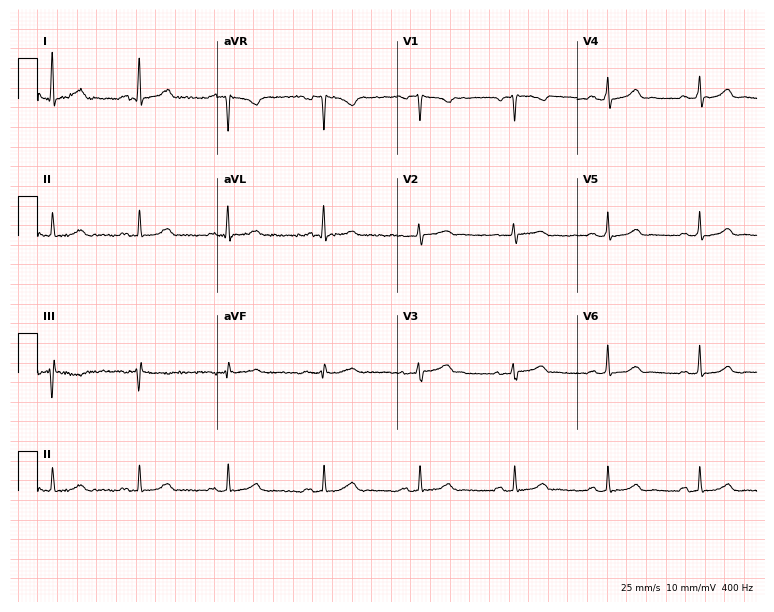
ECG (7.3-second recording at 400 Hz) — a 60-year-old female patient. Labelled as a normal ECG.